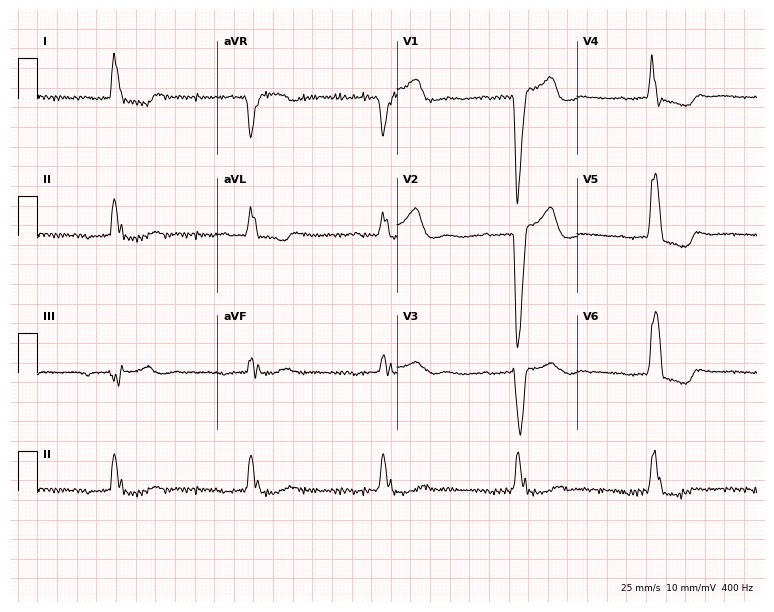
ECG (7.3-second recording at 400 Hz) — a 77-year-old female patient. Findings include first-degree AV block, left bundle branch block, sinus bradycardia (a sinus rate of 50 beats per minute or less).